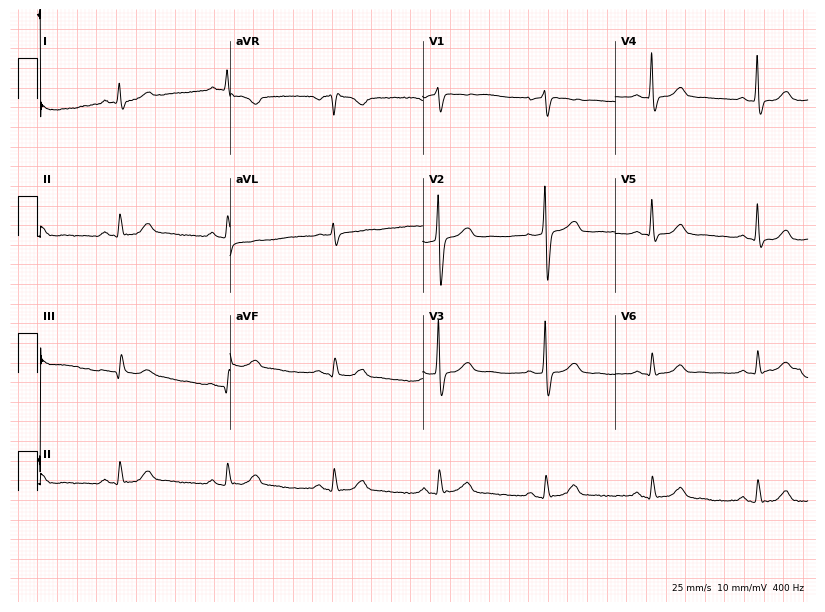
ECG (7.9-second recording at 400 Hz) — a man, 67 years old. Screened for six findings — first-degree AV block, right bundle branch block, left bundle branch block, sinus bradycardia, atrial fibrillation, sinus tachycardia — none is recorded.